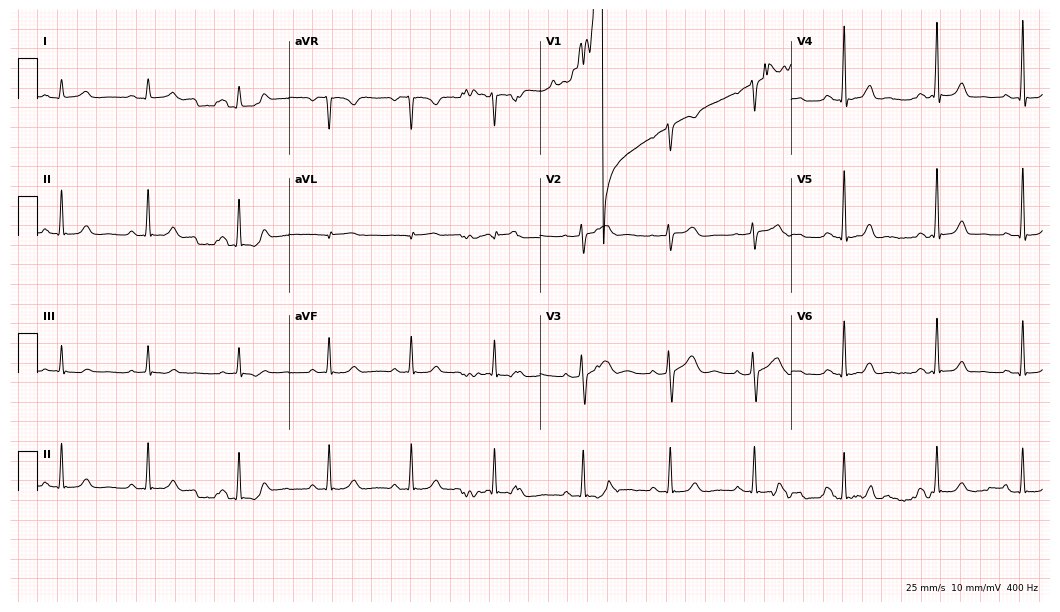
12-lead ECG (10.2-second recording at 400 Hz) from a 27-year-old woman. Labelled as a normal ECG.